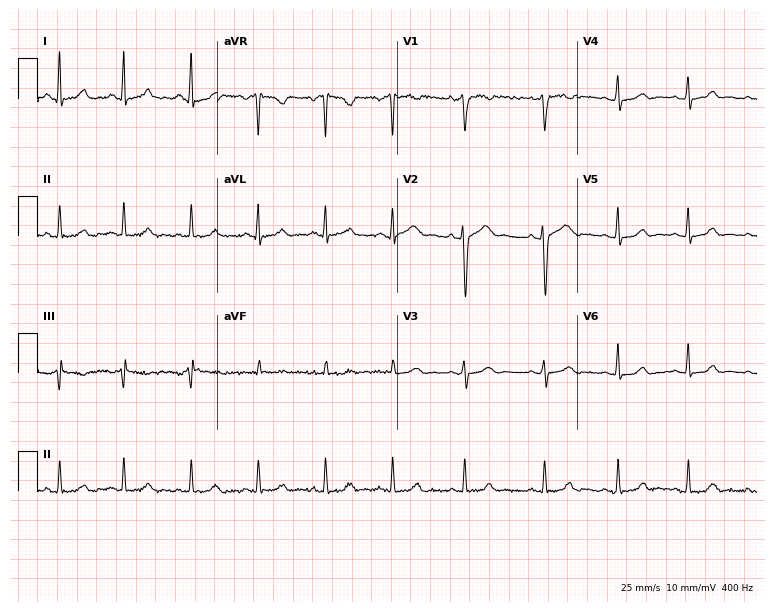
Resting 12-lead electrocardiogram (7.3-second recording at 400 Hz). Patient: a woman, 23 years old. Read as a normal ECG.